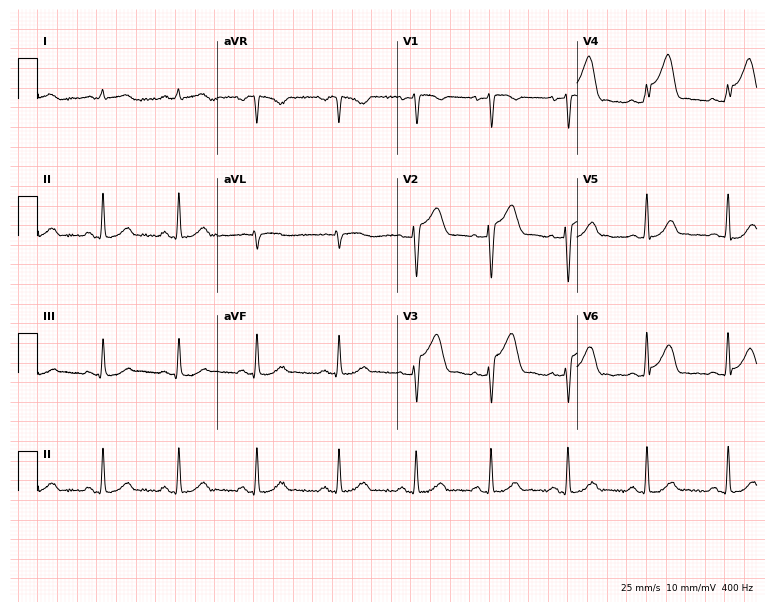
12-lead ECG from a woman, 27 years old. No first-degree AV block, right bundle branch block, left bundle branch block, sinus bradycardia, atrial fibrillation or sinus tachycardia recorded for this tracing.